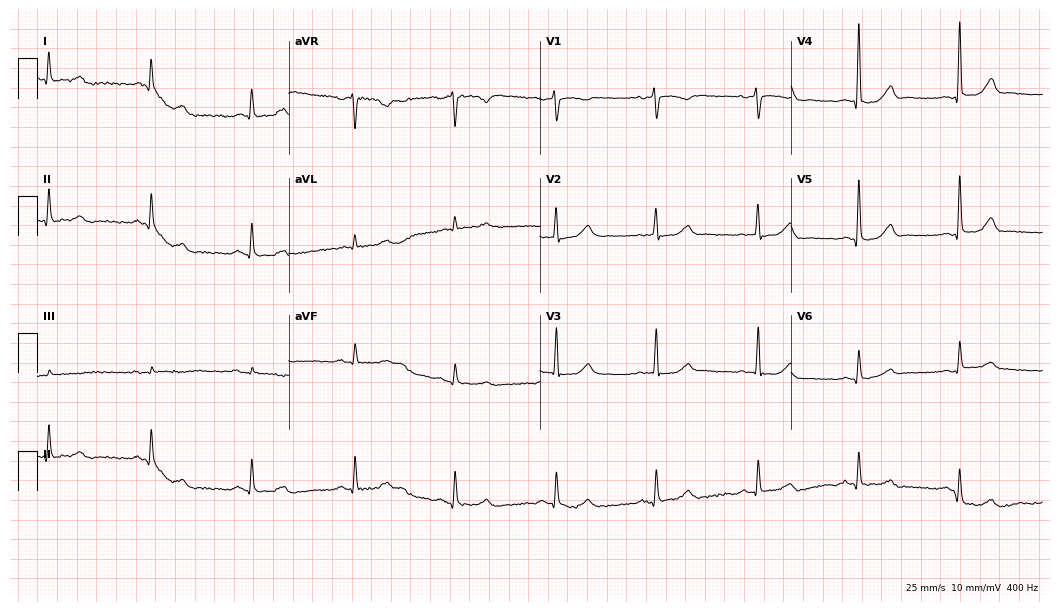
Resting 12-lead electrocardiogram (10.2-second recording at 400 Hz). Patient: an 84-year-old woman. None of these six findings is recorded: first-degree AV block, right bundle branch block, left bundle branch block, sinus bradycardia, atrial fibrillation, sinus tachycardia.